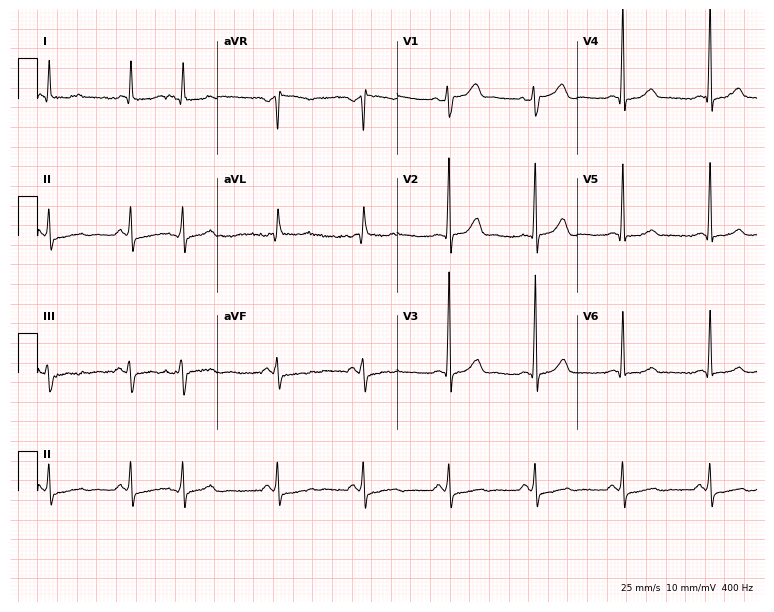
ECG (7.3-second recording at 400 Hz) — a male, 57 years old. Screened for six findings — first-degree AV block, right bundle branch block (RBBB), left bundle branch block (LBBB), sinus bradycardia, atrial fibrillation (AF), sinus tachycardia — none is recorded. Only these six findings were labelled.